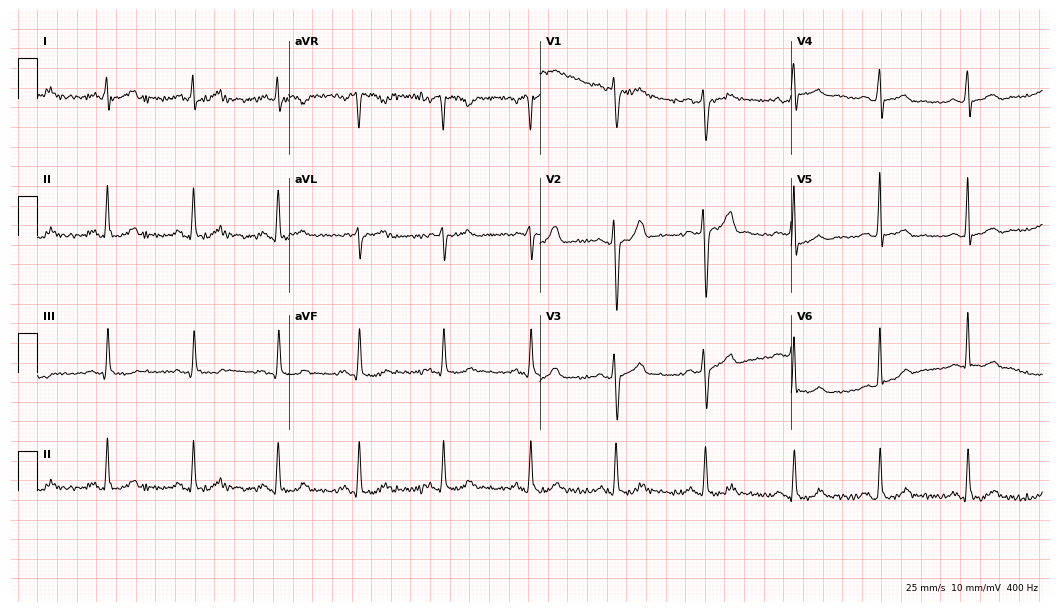
Standard 12-lead ECG recorded from a 48-year-old male patient (10.2-second recording at 400 Hz). None of these six findings is recorded: first-degree AV block, right bundle branch block, left bundle branch block, sinus bradycardia, atrial fibrillation, sinus tachycardia.